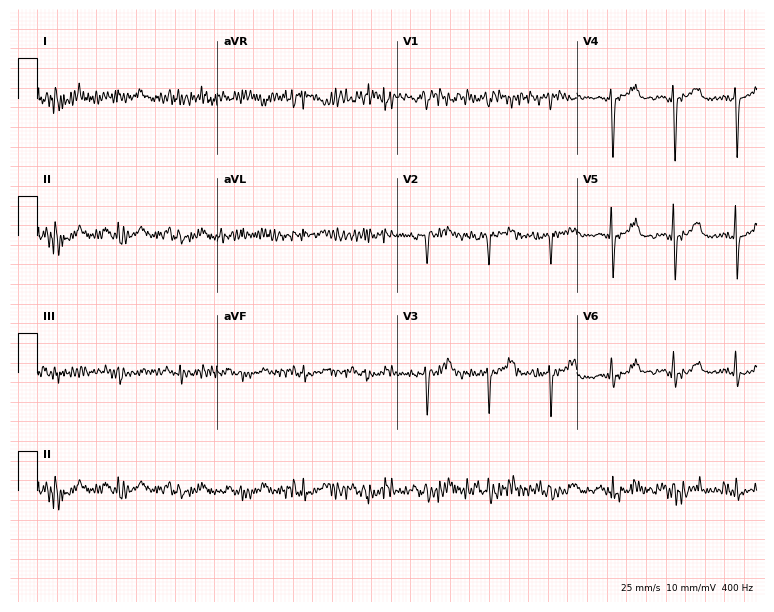
12-lead ECG (7.3-second recording at 400 Hz) from a 56-year-old female. Screened for six findings — first-degree AV block, right bundle branch block (RBBB), left bundle branch block (LBBB), sinus bradycardia, atrial fibrillation (AF), sinus tachycardia — none is recorded.